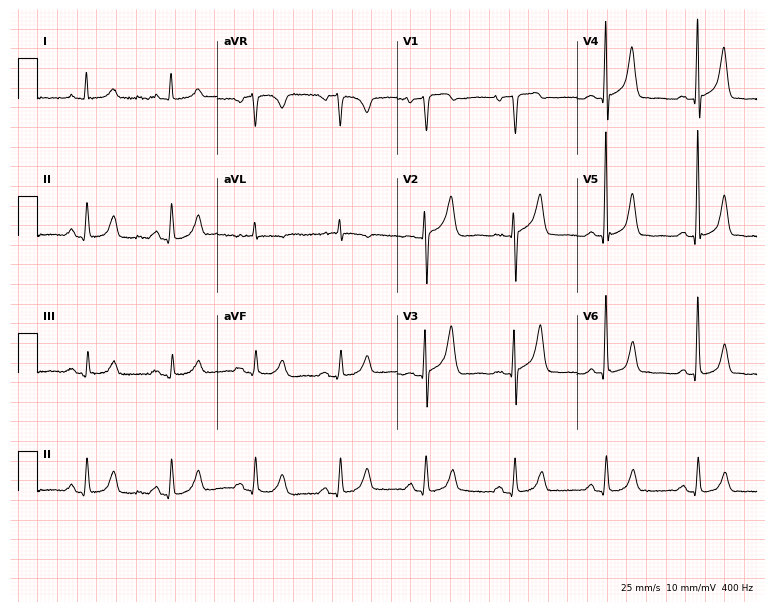
Standard 12-lead ECG recorded from a female patient, 83 years old (7.3-second recording at 400 Hz). None of these six findings is recorded: first-degree AV block, right bundle branch block (RBBB), left bundle branch block (LBBB), sinus bradycardia, atrial fibrillation (AF), sinus tachycardia.